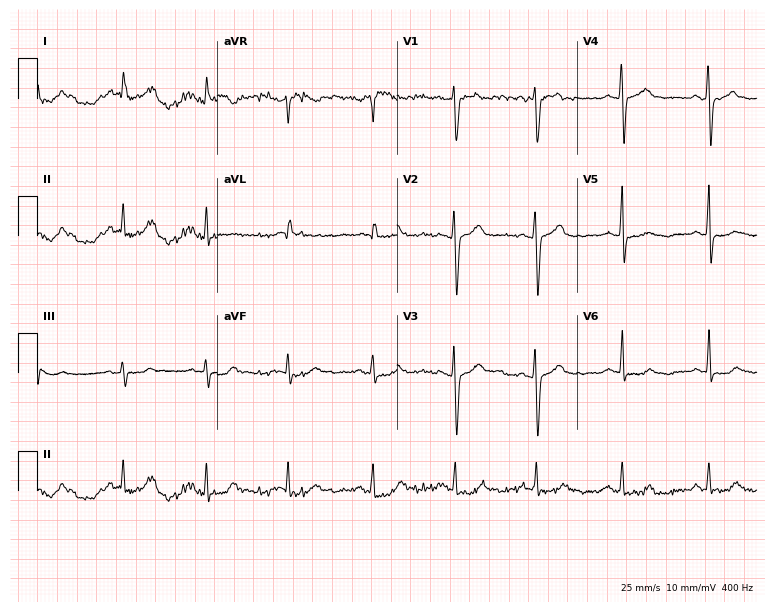
Resting 12-lead electrocardiogram (7.3-second recording at 400 Hz). Patient: a female, 47 years old. None of these six findings is recorded: first-degree AV block, right bundle branch block, left bundle branch block, sinus bradycardia, atrial fibrillation, sinus tachycardia.